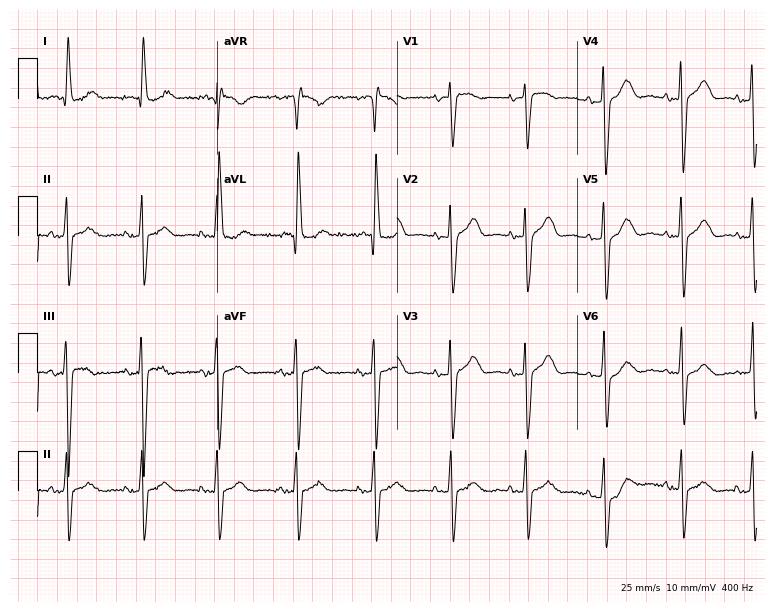
12-lead ECG from a female, 82 years old. No first-degree AV block, right bundle branch block (RBBB), left bundle branch block (LBBB), sinus bradycardia, atrial fibrillation (AF) or sinus tachycardia recorded for this tracing.